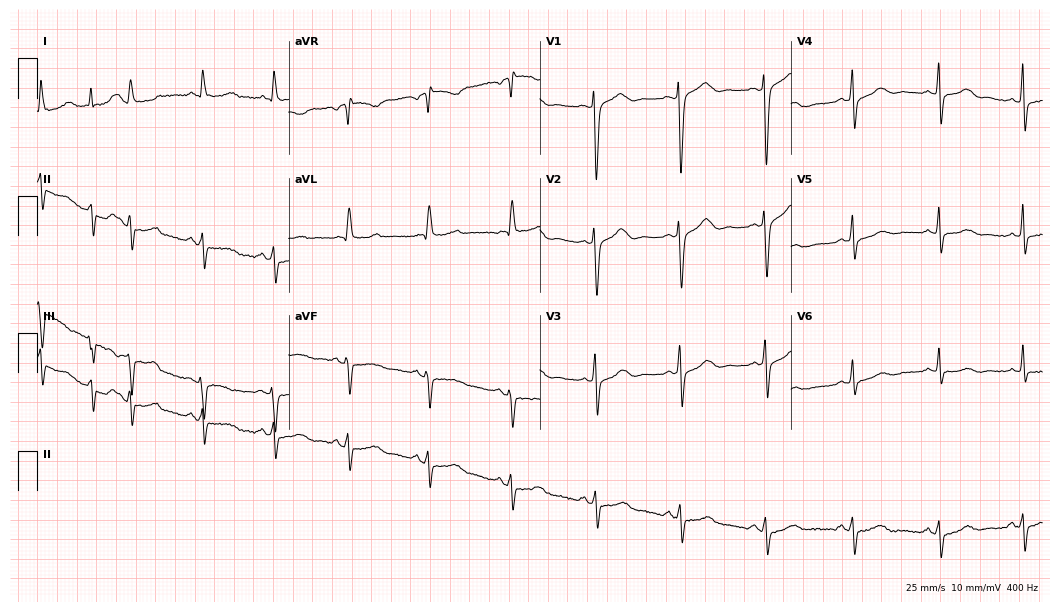
ECG (10.2-second recording at 400 Hz) — a 60-year-old female patient. Screened for six findings — first-degree AV block, right bundle branch block, left bundle branch block, sinus bradycardia, atrial fibrillation, sinus tachycardia — none is recorded. Findings outside these six are not listed.